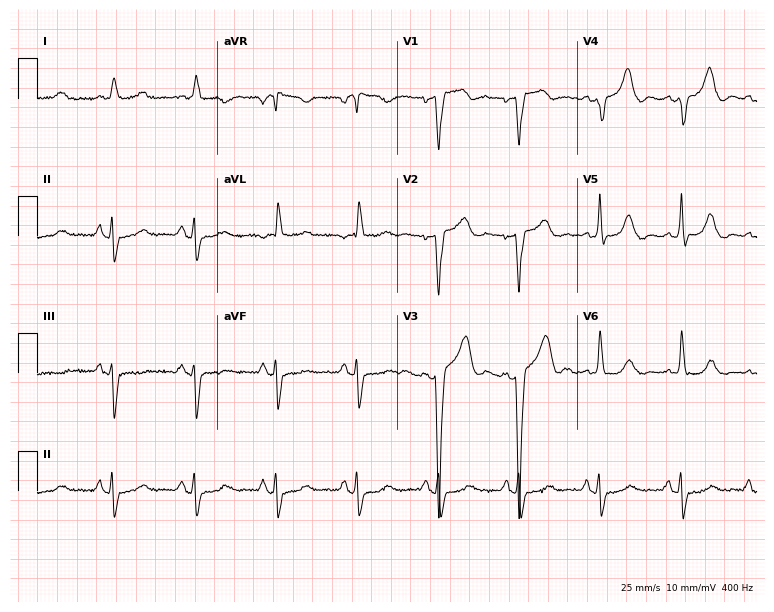
12-lead ECG from an 81-year-old male. No first-degree AV block, right bundle branch block, left bundle branch block, sinus bradycardia, atrial fibrillation or sinus tachycardia recorded for this tracing.